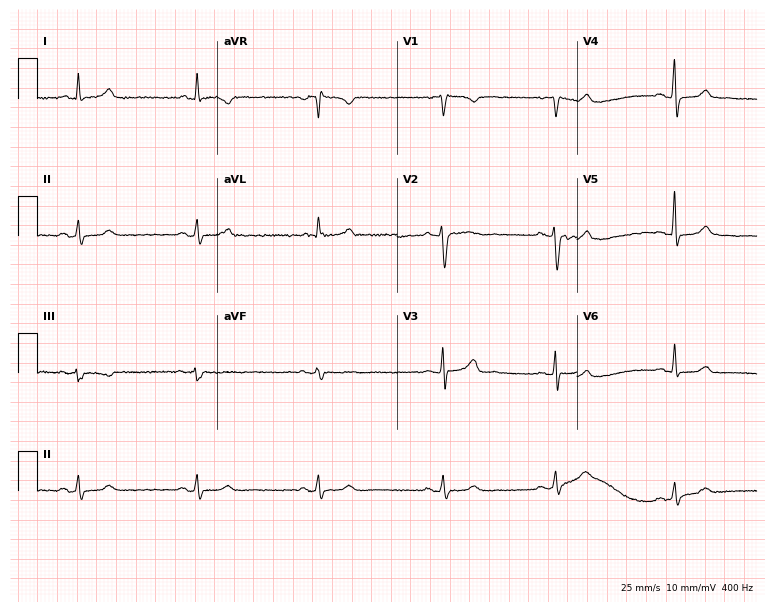
Electrocardiogram, a female patient, 52 years old. Of the six screened findings (first-degree AV block, right bundle branch block, left bundle branch block, sinus bradycardia, atrial fibrillation, sinus tachycardia), none is recorded.